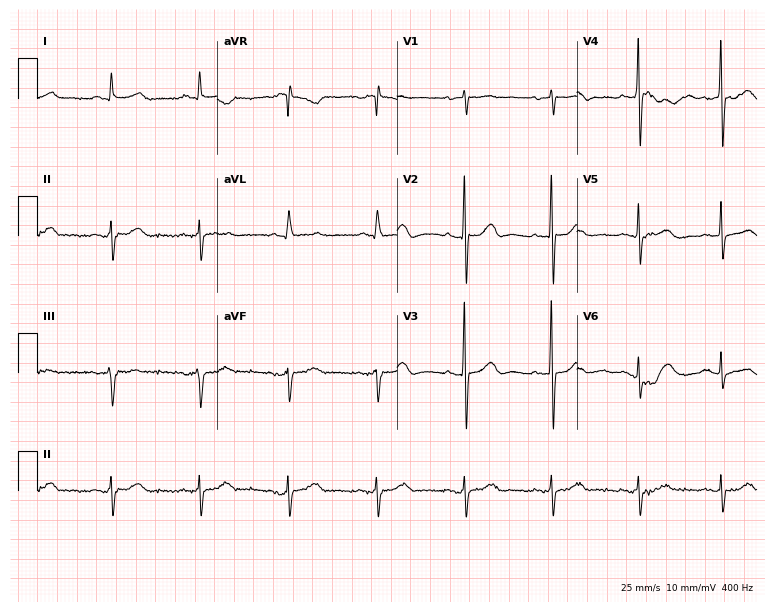
Electrocardiogram, a woman, 67 years old. Of the six screened findings (first-degree AV block, right bundle branch block (RBBB), left bundle branch block (LBBB), sinus bradycardia, atrial fibrillation (AF), sinus tachycardia), none is recorded.